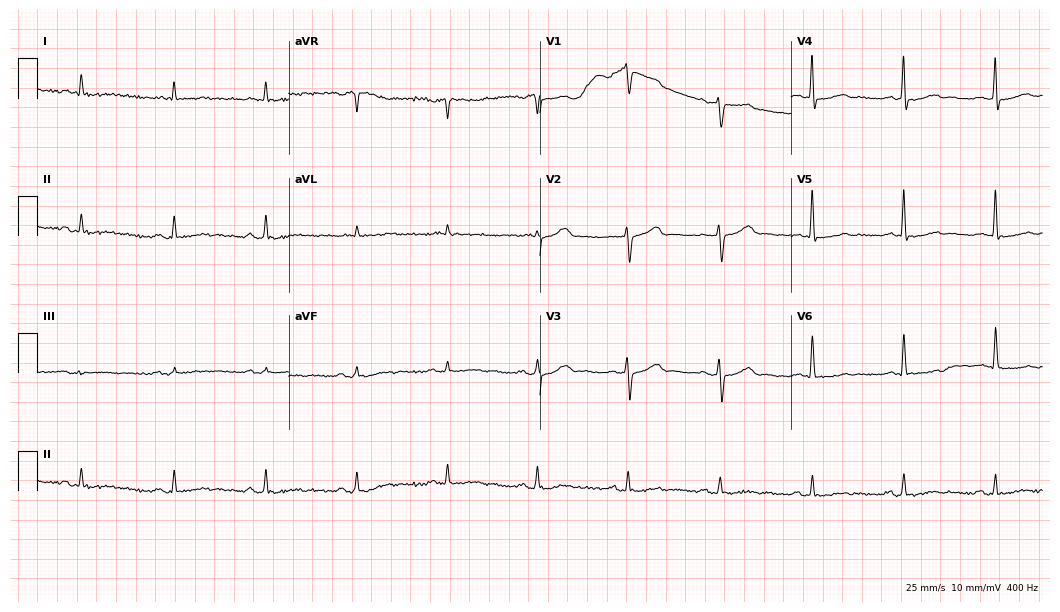
12-lead ECG from a 77-year-old male. Screened for six findings — first-degree AV block, right bundle branch block, left bundle branch block, sinus bradycardia, atrial fibrillation, sinus tachycardia — none is recorded.